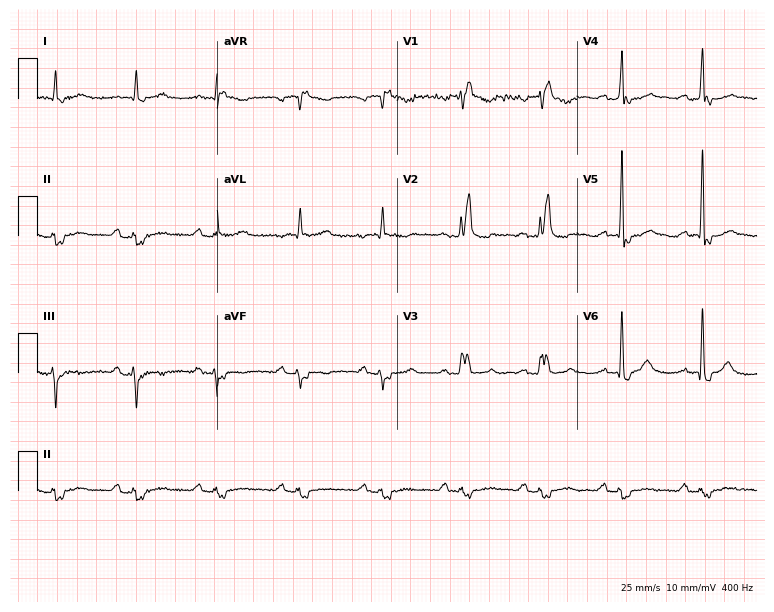
Resting 12-lead electrocardiogram (7.3-second recording at 400 Hz). Patient: a woman, 75 years old. The tracing shows right bundle branch block.